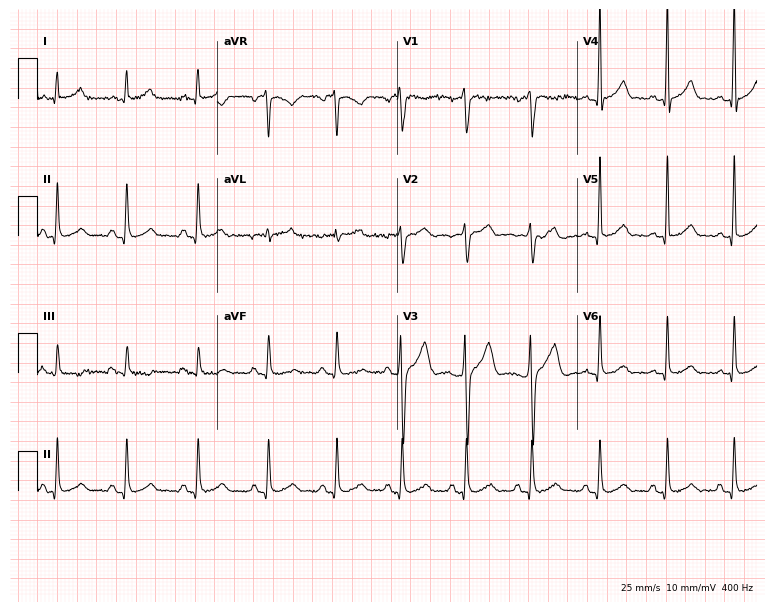
12-lead ECG from a male, 22 years old (7.3-second recording at 400 Hz). Recorded interpretation: within normal limits.